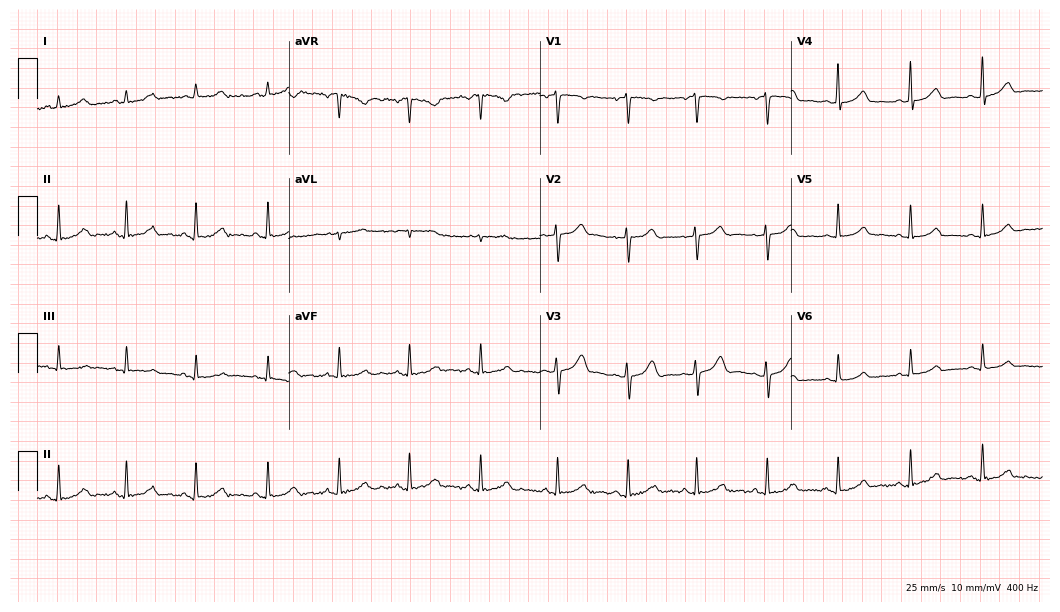
Resting 12-lead electrocardiogram (10.2-second recording at 400 Hz). Patient: a female, 45 years old. None of these six findings is recorded: first-degree AV block, right bundle branch block, left bundle branch block, sinus bradycardia, atrial fibrillation, sinus tachycardia. Findings outside these six are not listed.